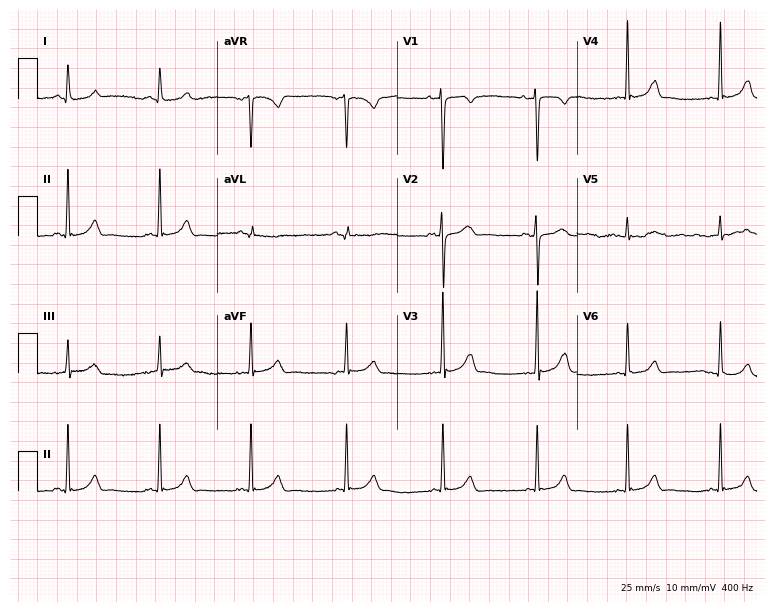
ECG — a 26-year-old woman. Labelled as a normal ECG.